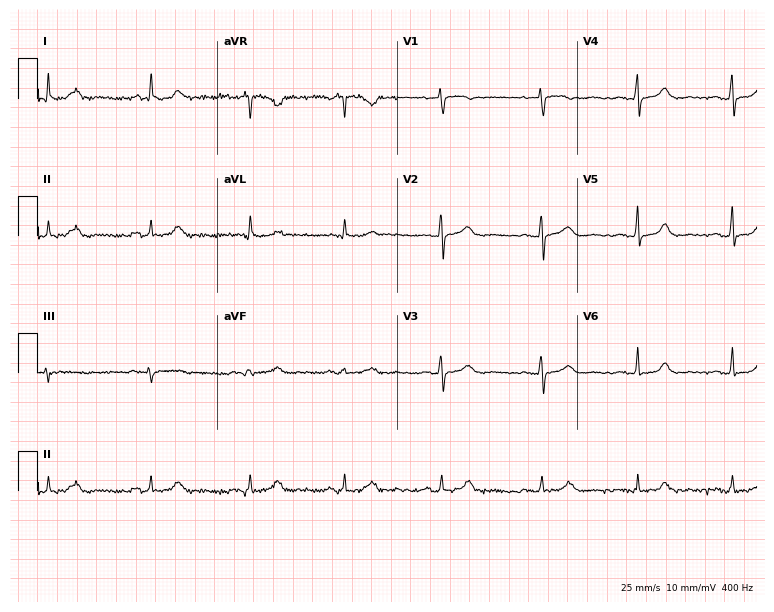
Resting 12-lead electrocardiogram (7.3-second recording at 400 Hz). Patient: a woman, 58 years old. Read as a normal ECG.